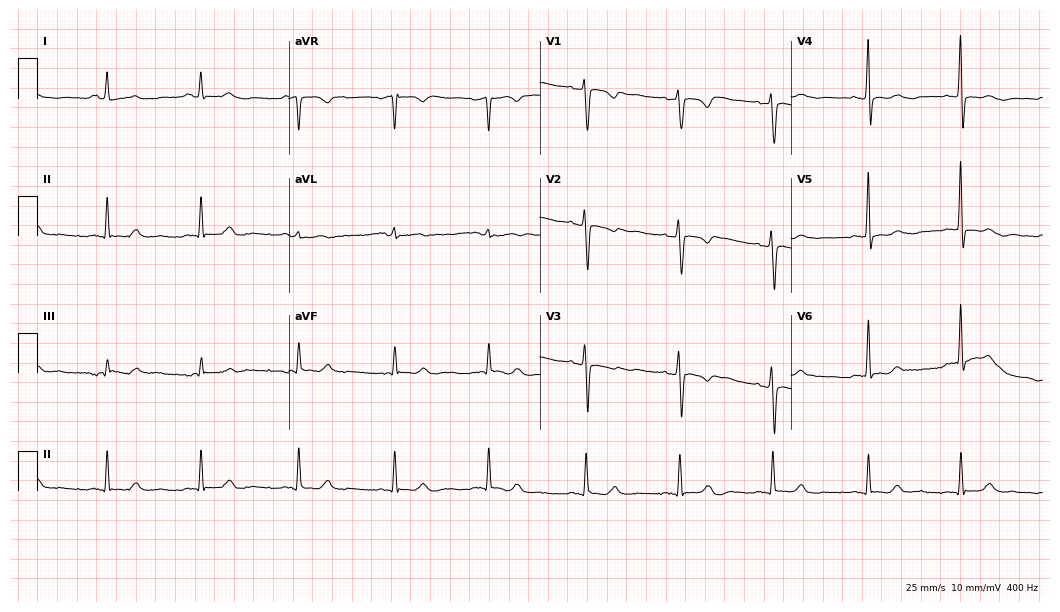
Electrocardiogram, a 74-year-old woman. Of the six screened findings (first-degree AV block, right bundle branch block, left bundle branch block, sinus bradycardia, atrial fibrillation, sinus tachycardia), none is recorded.